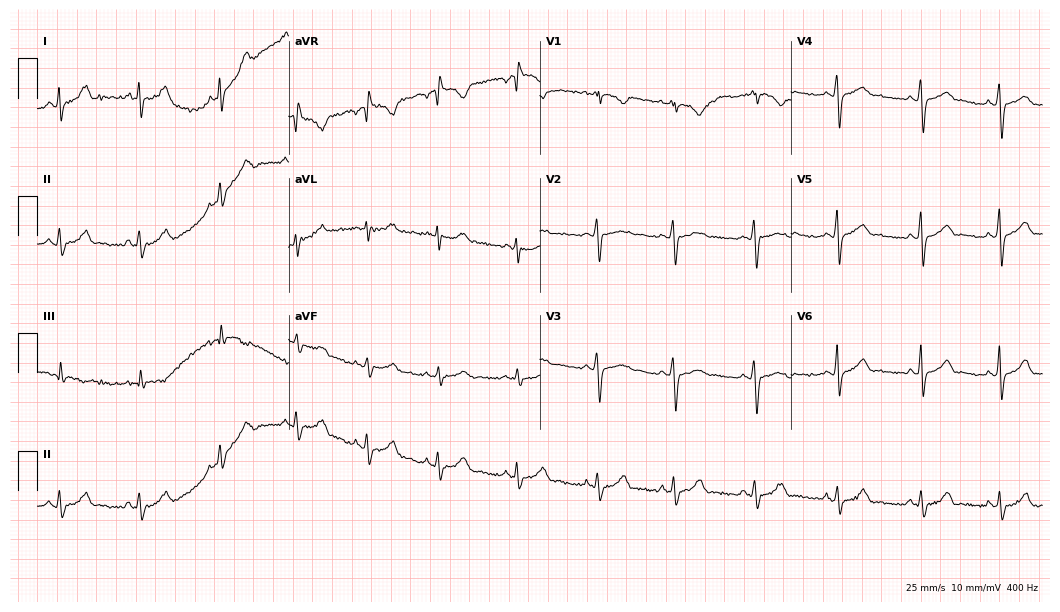
ECG (10.2-second recording at 400 Hz) — a female, 22 years old. Labelled as a normal ECG.